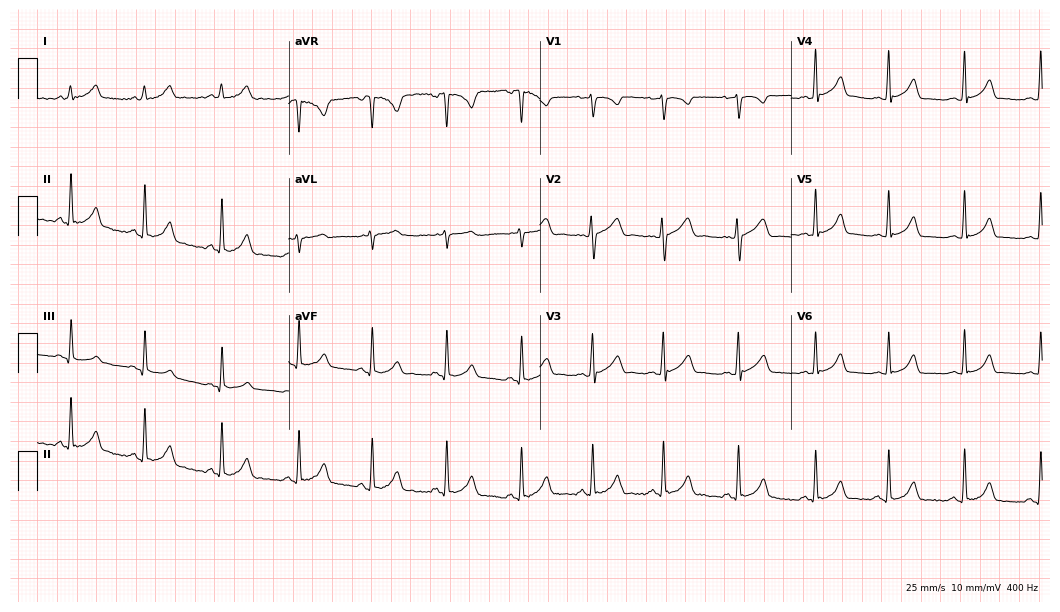
12-lead ECG (10.2-second recording at 400 Hz) from a 22-year-old female patient. Labelled as a normal ECG.